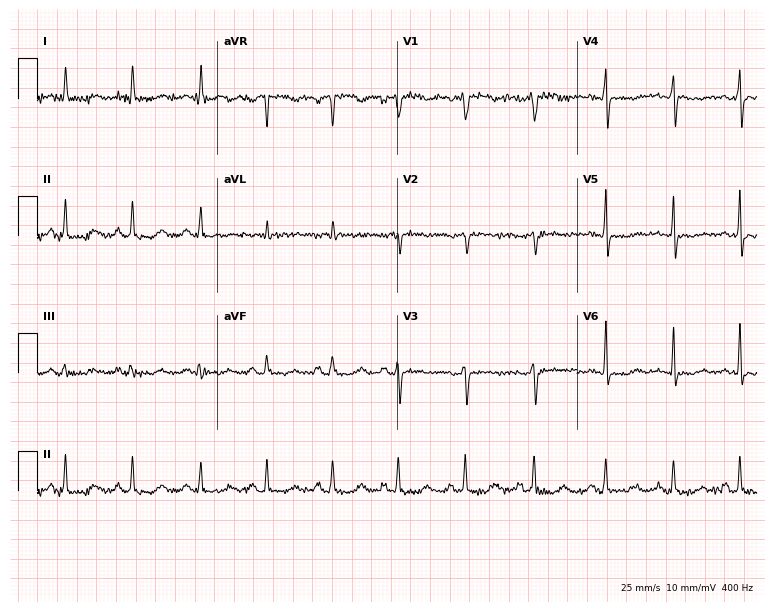
ECG (7.3-second recording at 400 Hz) — a female, 69 years old. Screened for six findings — first-degree AV block, right bundle branch block, left bundle branch block, sinus bradycardia, atrial fibrillation, sinus tachycardia — none is recorded. Only these six findings were labelled.